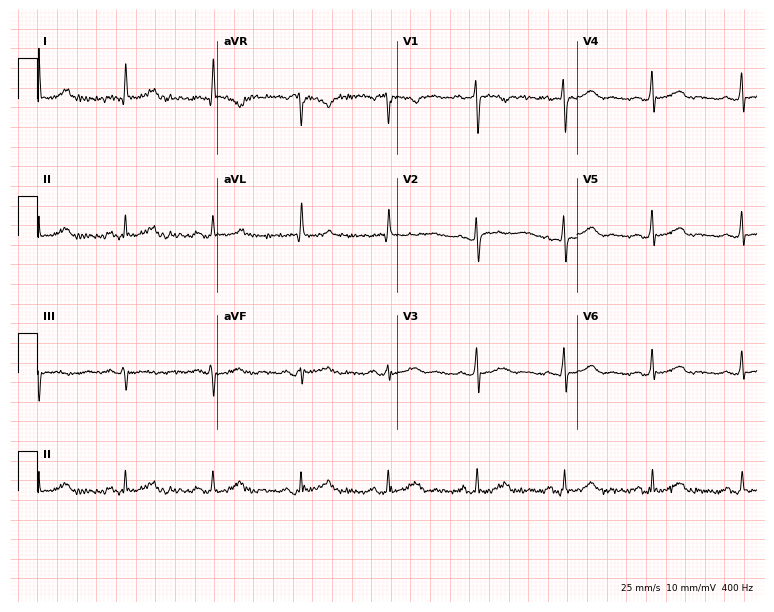
12-lead ECG from a female patient, 40 years old (7.3-second recording at 400 Hz). Recorded interpretation: within normal limits.